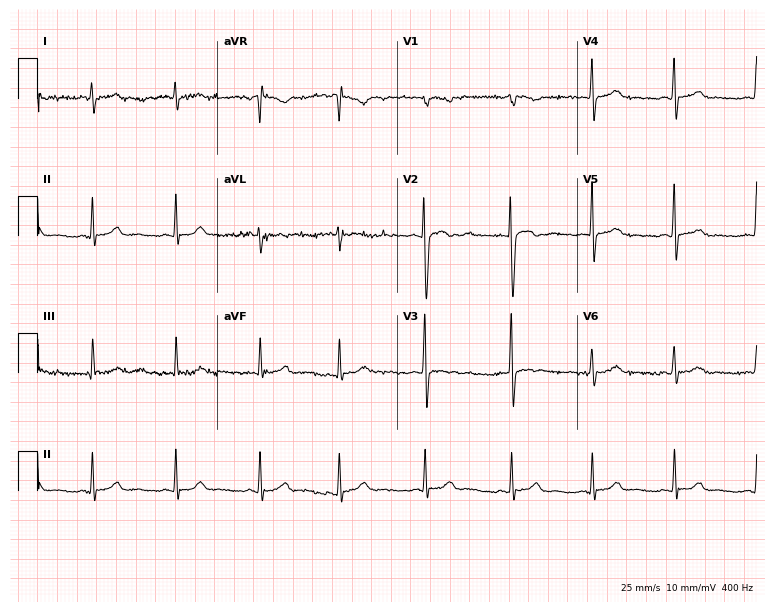
12-lead ECG from a 20-year-old female patient (7.3-second recording at 400 Hz). Recorded interpretation: within normal limits.